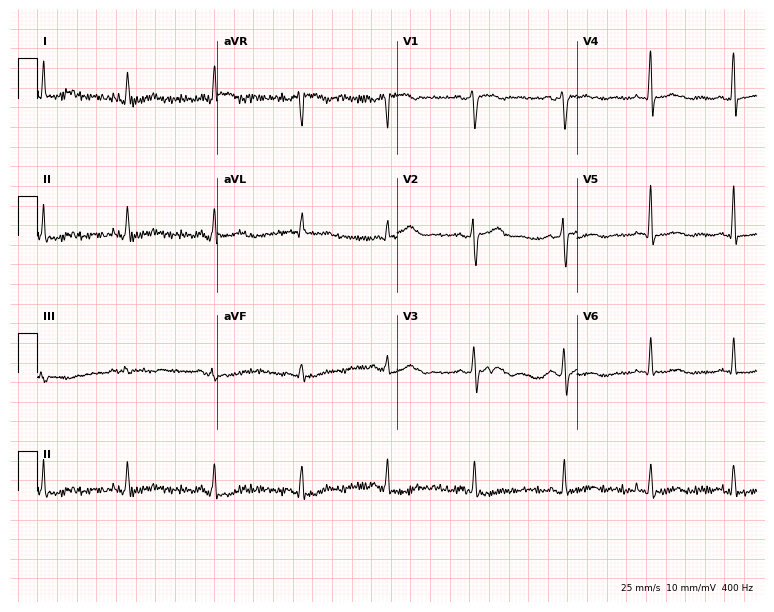
12-lead ECG from a 46-year-old woman. Screened for six findings — first-degree AV block, right bundle branch block, left bundle branch block, sinus bradycardia, atrial fibrillation, sinus tachycardia — none is recorded.